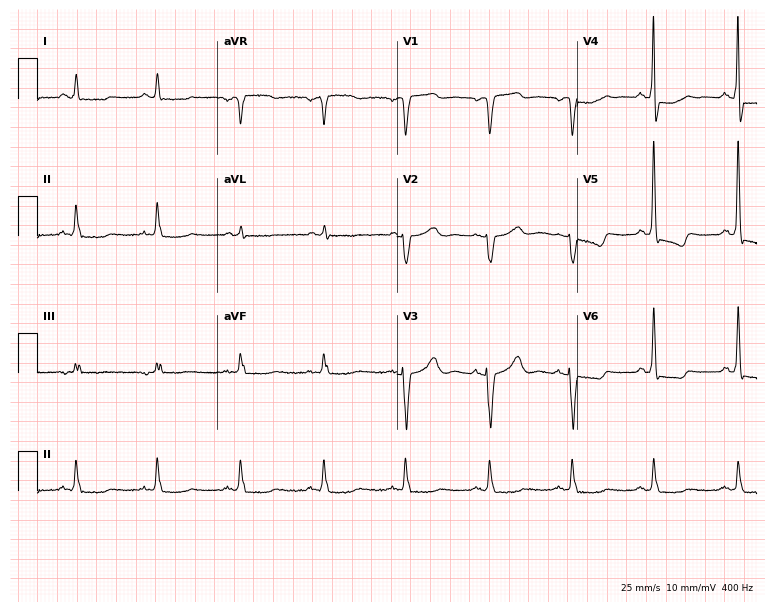
Electrocardiogram (7.3-second recording at 400 Hz), a 78-year-old male patient. Of the six screened findings (first-degree AV block, right bundle branch block (RBBB), left bundle branch block (LBBB), sinus bradycardia, atrial fibrillation (AF), sinus tachycardia), none is recorded. Other findings, if any, are not listed.